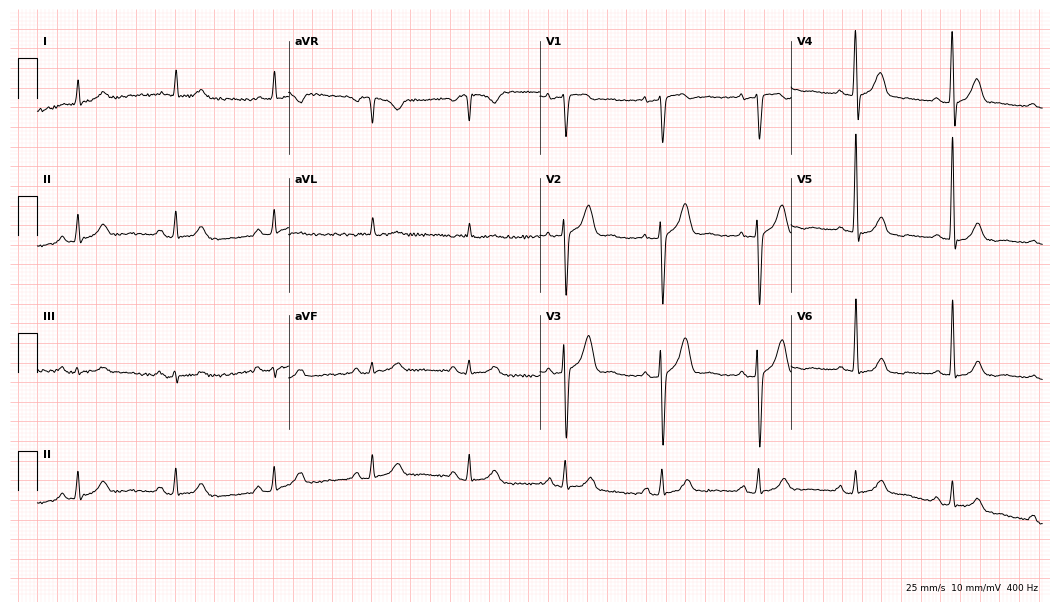
Electrocardiogram, a 73-year-old male patient. Of the six screened findings (first-degree AV block, right bundle branch block, left bundle branch block, sinus bradycardia, atrial fibrillation, sinus tachycardia), none is recorded.